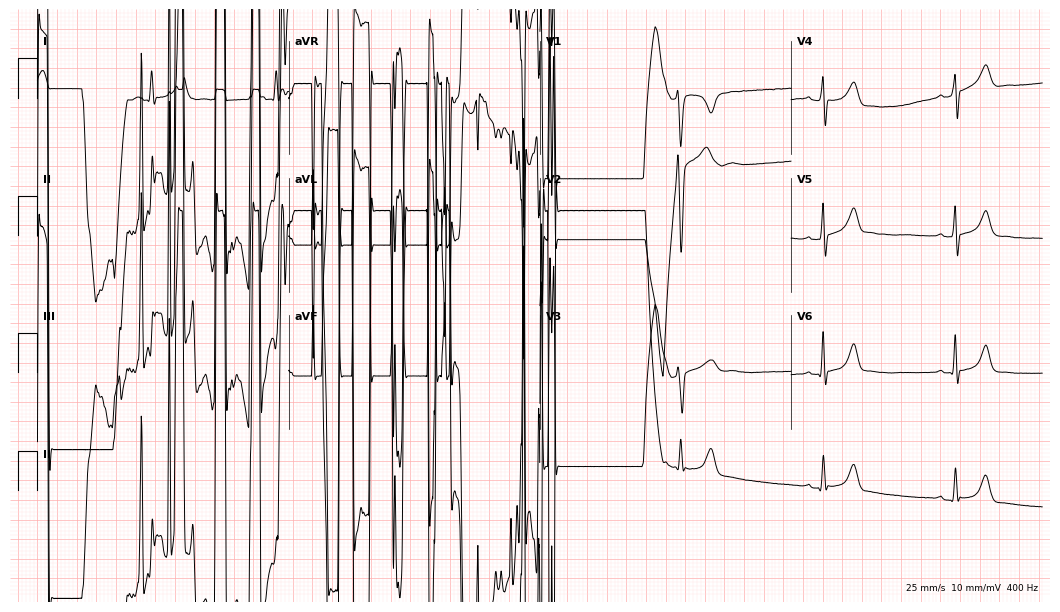
Resting 12-lead electrocardiogram. Patient: a 24-year-old male. None of these six findings is recorded: first-degree AV block, right bundle branch block, left bundle branch block, sinus bradycardia, atrial fibrillation, sinus tachycardia.